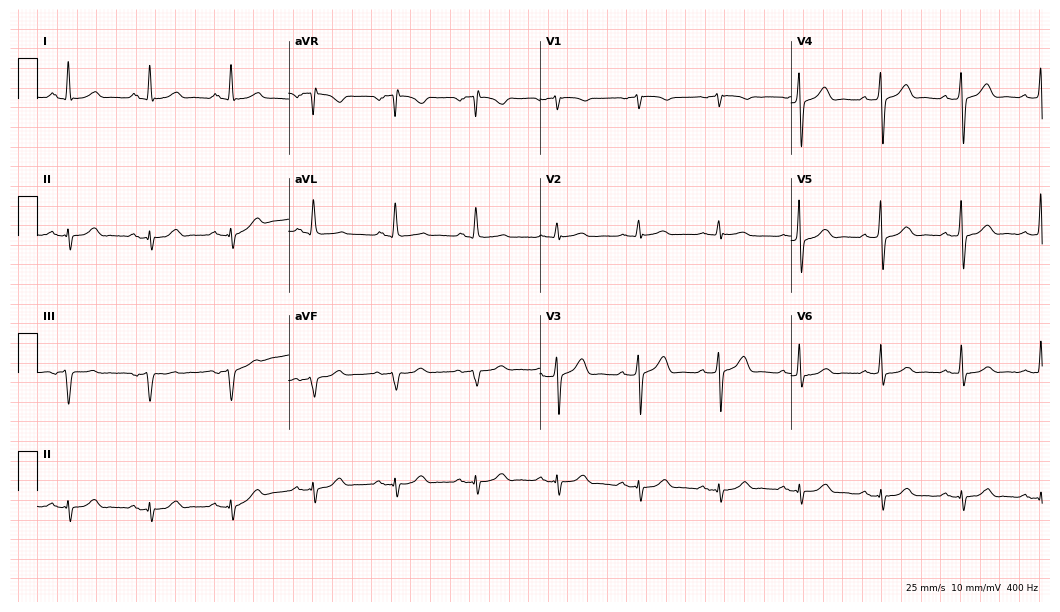
12-lead ECG from a man, 57 years old. No first-degree AV block, right bundle branch block, left bundle branch block, sinus bradycardia, atrial fibrillation or sinus tachycardia recorded for this tracing. Only these six findings were labelled.